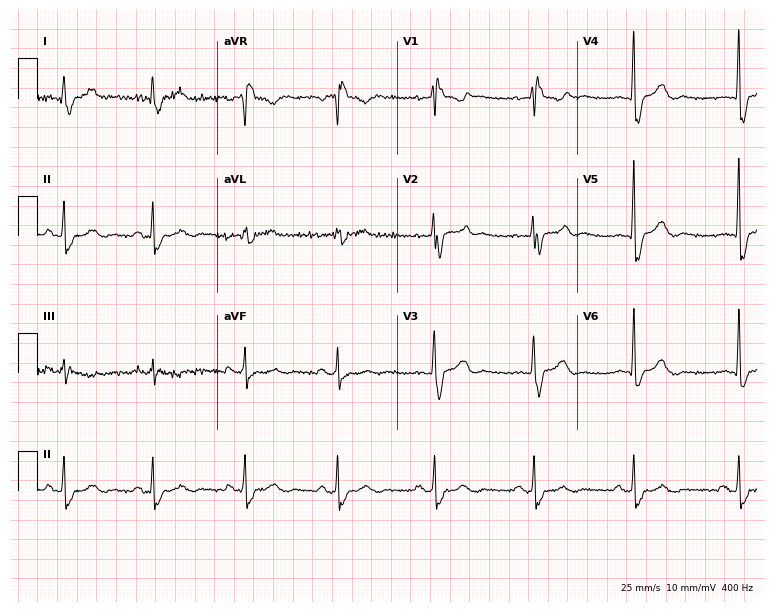
Resting 12-lead electrocardiogram. Patient: a male, 46 years old. The tracing shows right bundle branch block.